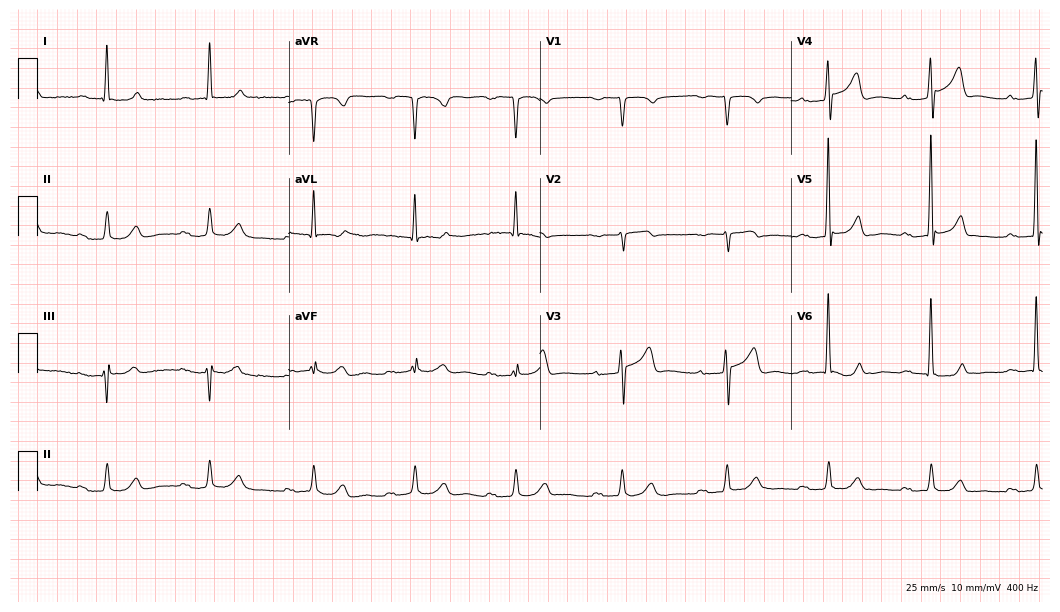
12-lead ECG from an 80-year-old male patient. Findings include first-degree AV block.